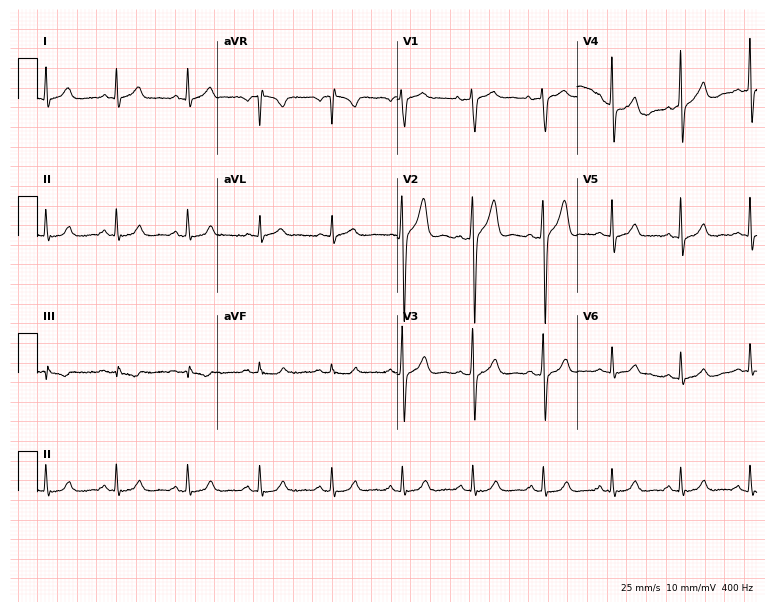
Electrocardiogram, a 32-year-old man. Overall reading on record: normal ECG.